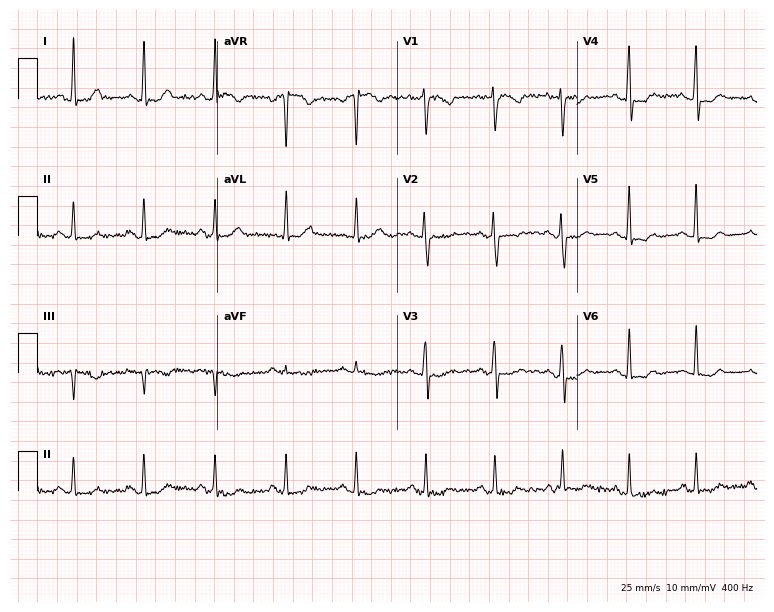
Resting 12-lead electrocardiogram (7.3-second recording at 400 Hz). Patient: a 48-year-old female. None of these six findings is recorded: first-degree AV block, right bundle branch block (RBBB), left bundle branch block (LBBB), sinus bradycardia, atrial fibrillation (AF), sinus tachycardia.